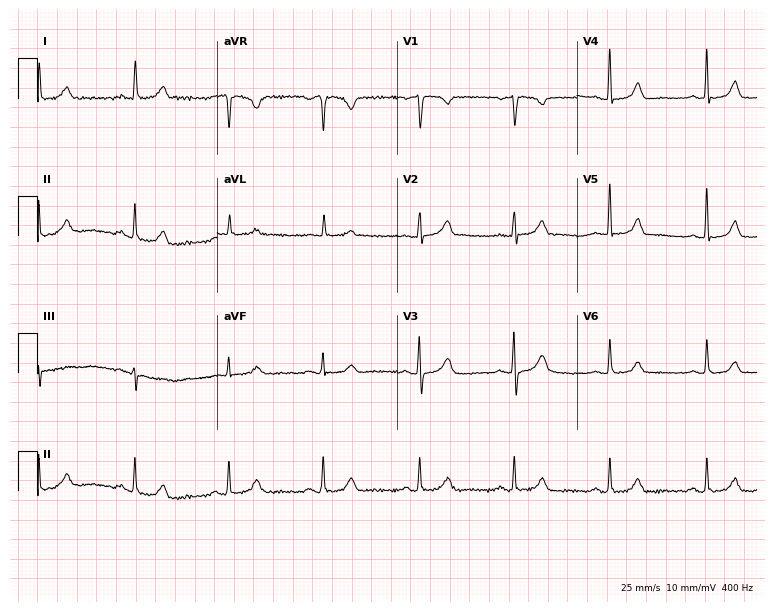
ECG (7.3-second recording at 400 Hz) — a 56-year-old female patient. Labelled as a normal ECG.